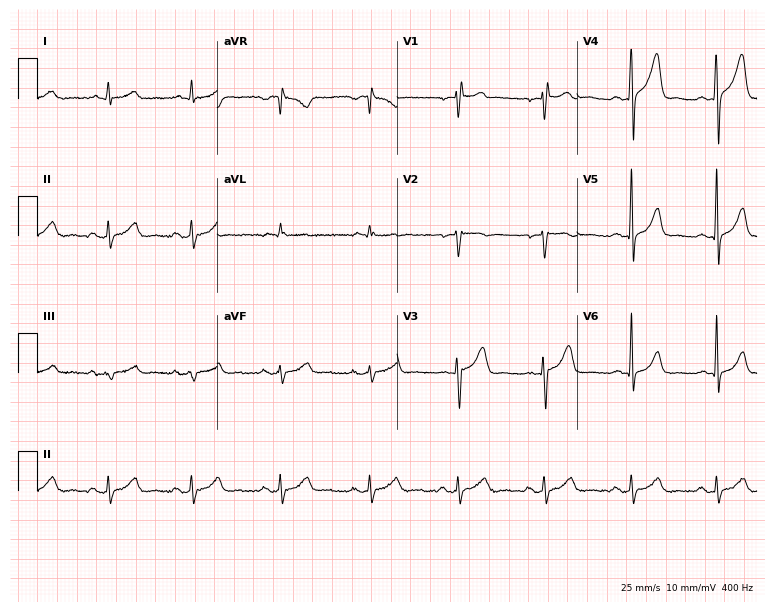
ECG — a female patient, 80 years old. Labelled as a normal ECG.